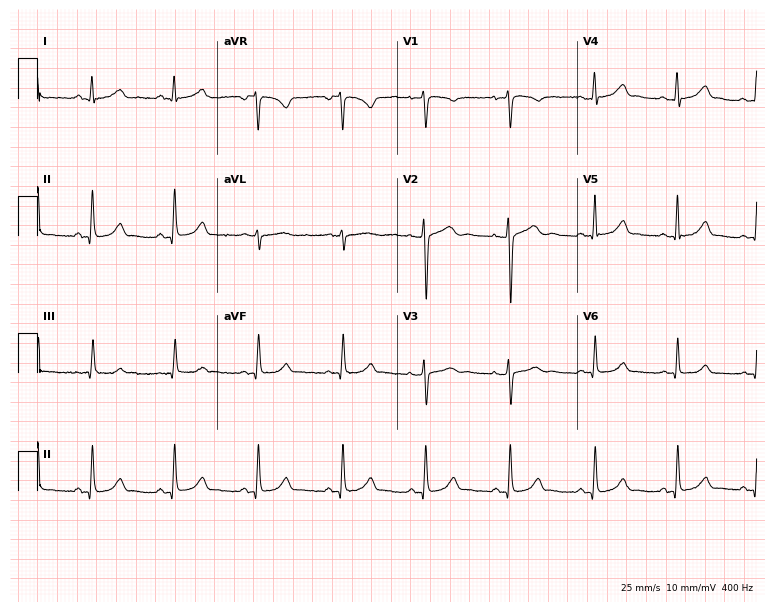
12-lead ECG from a 33-year-old woman (7.3-second recording at 400 Hz). No first-degree AV block, right bundle branch block, left bundle branch block, sinus bradycardia, atrial fibrillation or sinus tachycardia recorded for this tracing.